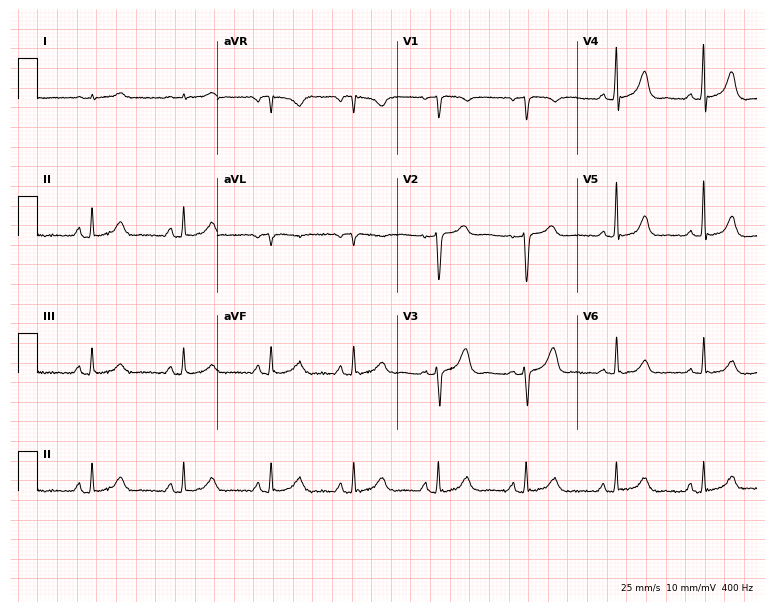
Electrocardiogram, a 44-year-old female. Overall reading on record: normal ECG.